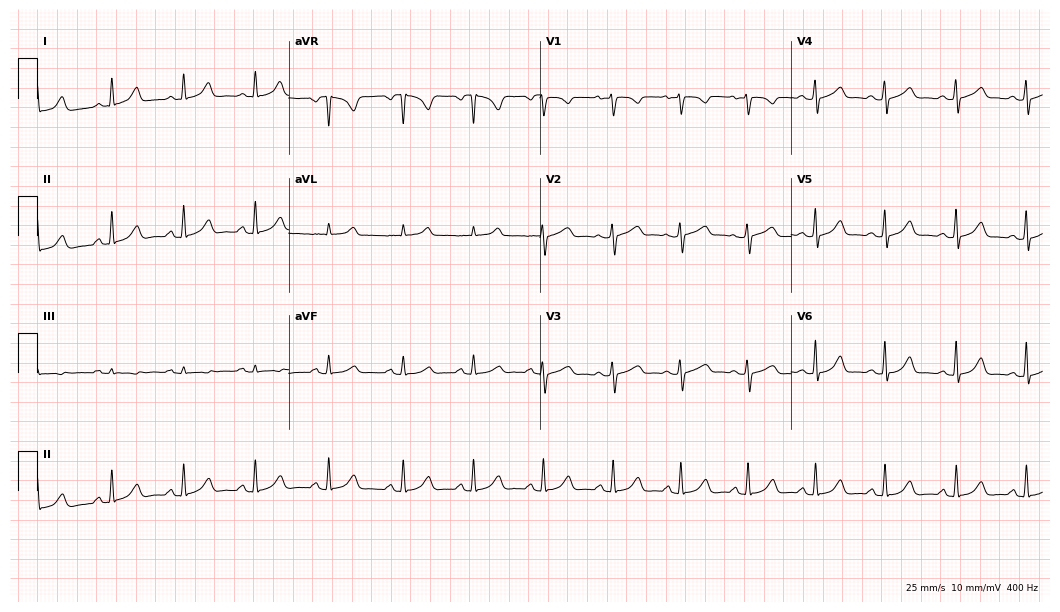
Resting 12-lead electrocardiogram (10.2-second recording at 400 Hz). Patient: a 30-year-old female. Read as a normal ECG.